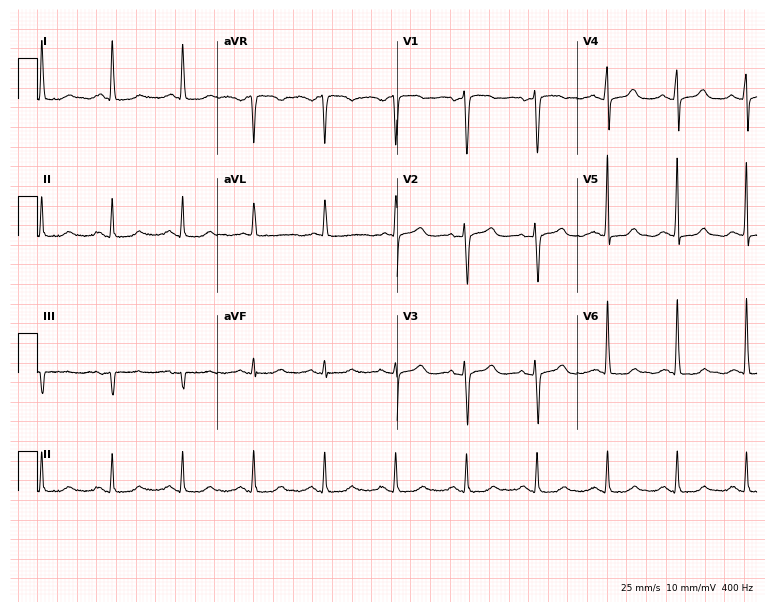
12-lead ECG (7.3-second recording at 400 Hz) from a 73-year-old female patient. Labelled as a normal ECG.